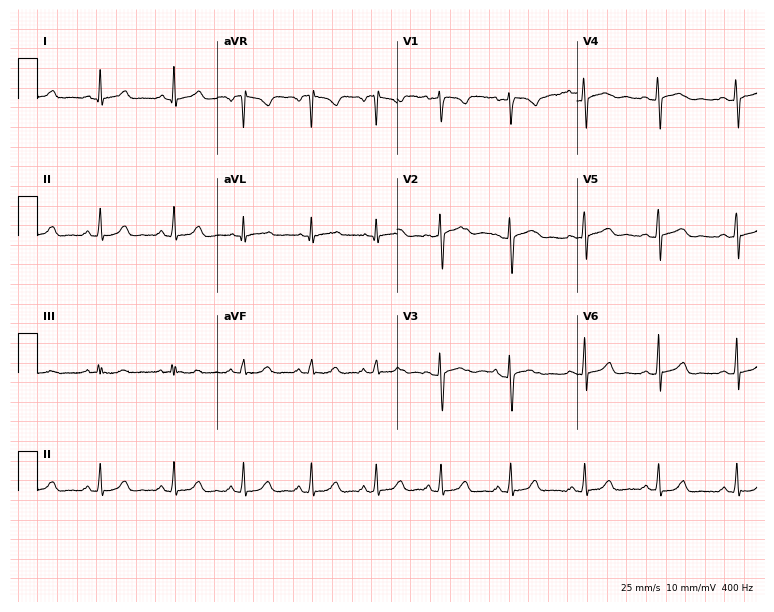
12-lead ECG from a woman, 27 years old. No first-degree AV block, right bundle branch block, left bundle branch block, sinus bradycardia, atrial fibrillation or sinus tachycardia recorded for this tracing.